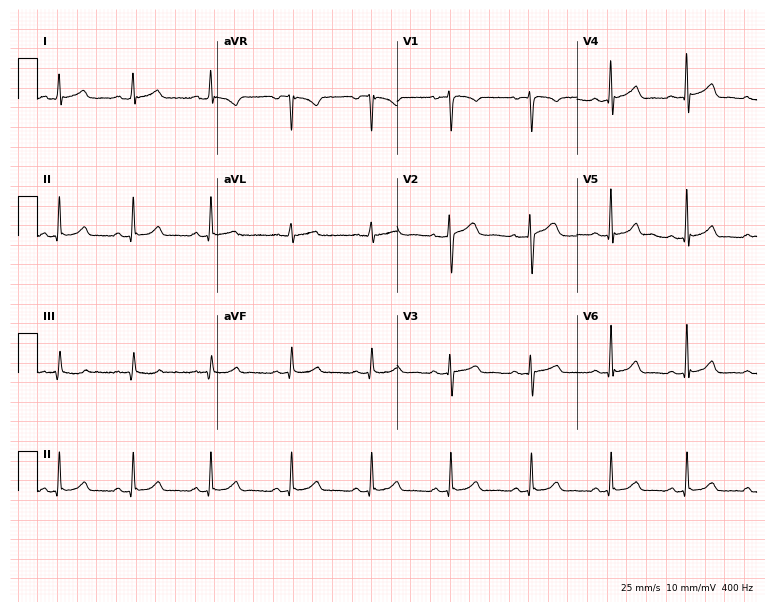
ECG — a female patient, 31 years old. Labelled as a normal ECG.